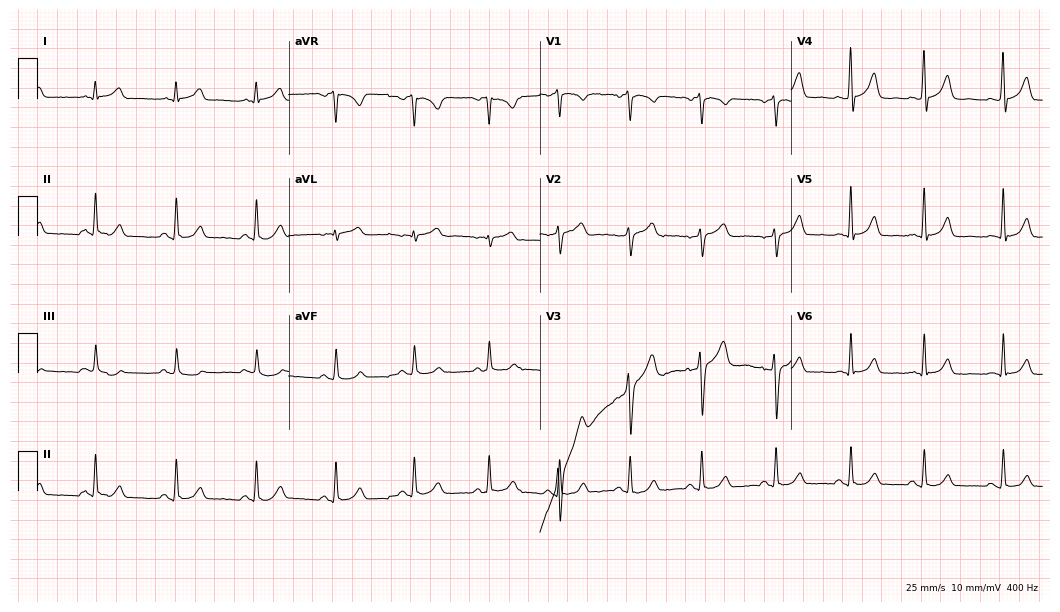
Standard 12-lead ECG recorded from a man, 38 years old (10.2-second recording at 400 Hz). Read as a normal ECG.